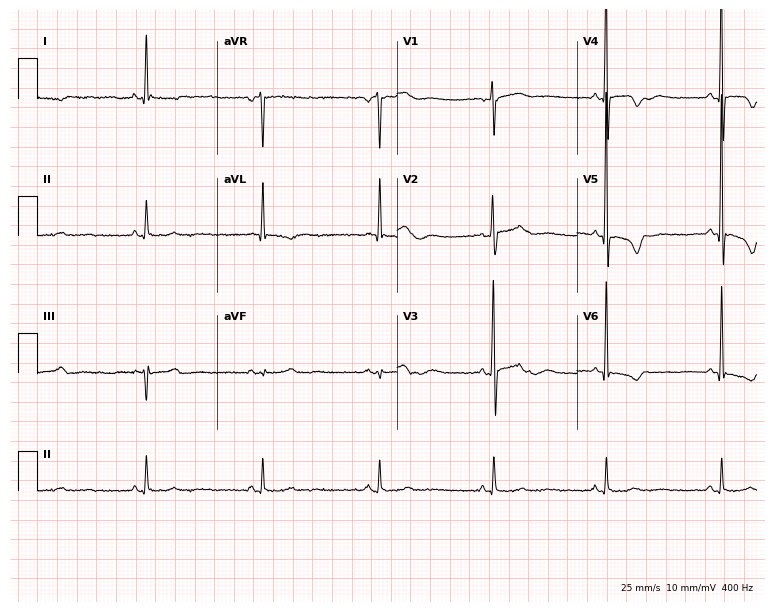
Resting 12-lead electrocardiogram (7.3-second recording at 400 Hz). Patient: a female, 72 years old. None of these six findings is recorded: first-degree AV block, right bundle branch block, left bundle branch block, sinus bradycardia, atrial fibrillation, sinus tachycardia.